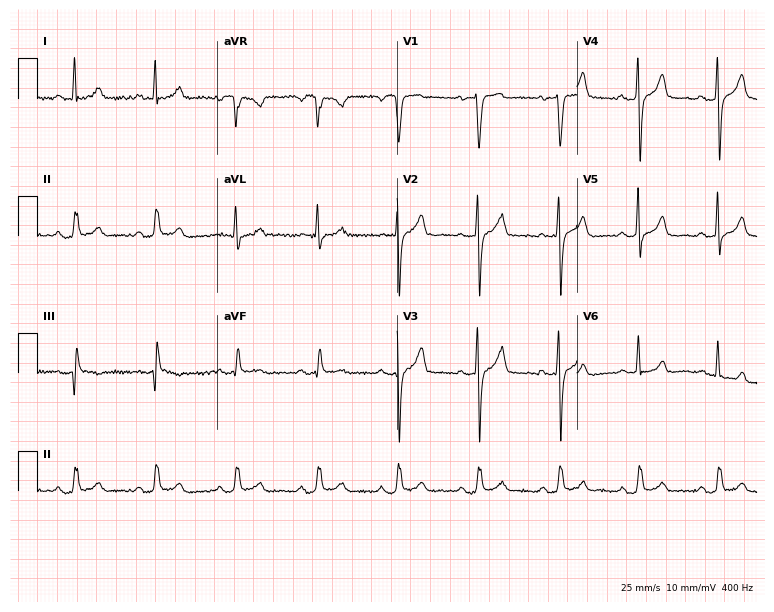
Standard 12-lead ECG recorded from a man, 59 years old (7.3-second recording at 400 Hz). None of these six findings is recorded: first-degree AV block, right bundle branch block, left bundle branch block, sinus bradycardia, atrial fibrillation, sinus tachycardia. Other findings, if any, are not listed.